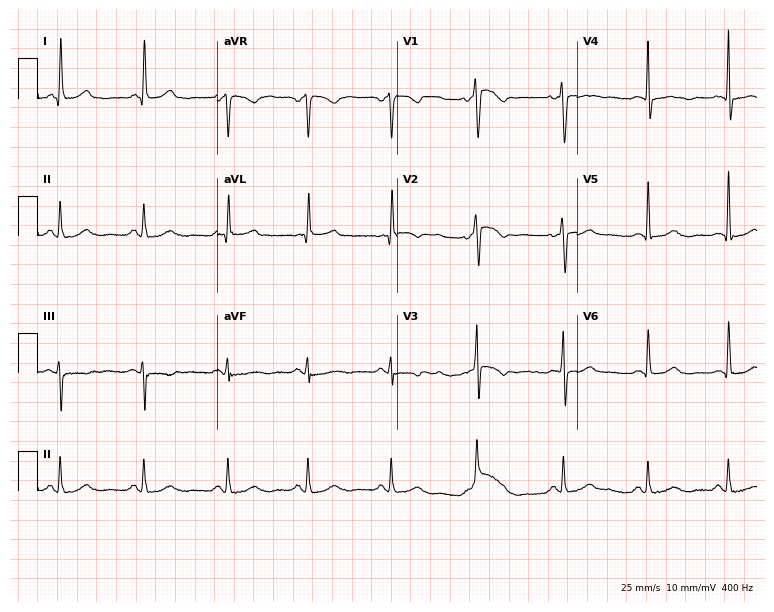
12-lead ECG (7.3-second recording at 400 Hz) from a woman, 71 years old. Labelled as a normal ECG.